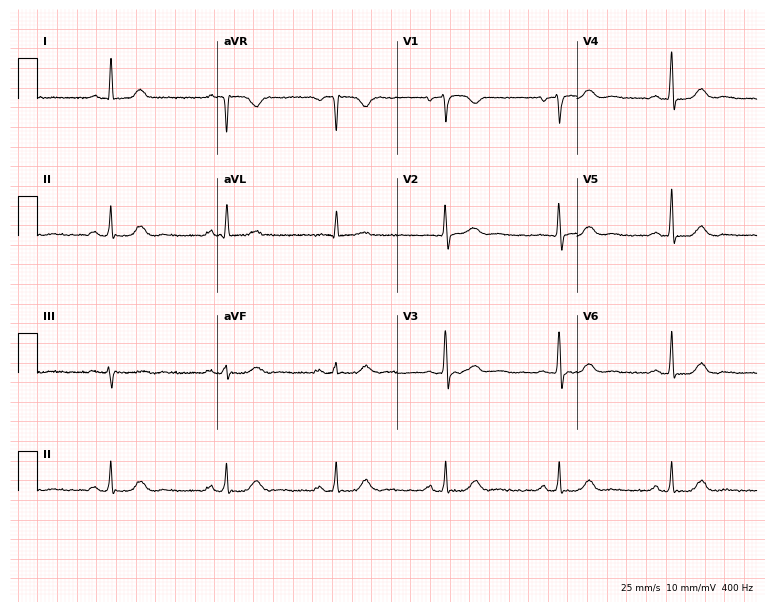
12-lead ECG from a 71-year-old female. Recorded interpretation: within normal limits.